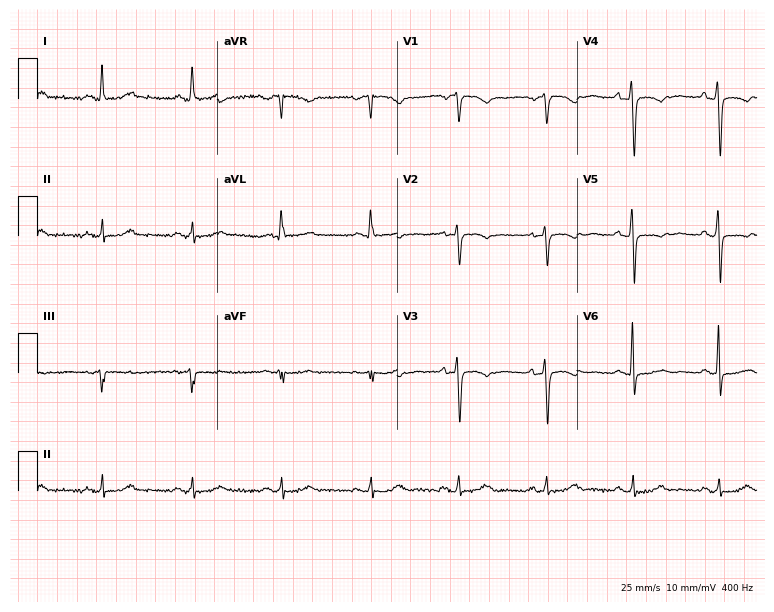
12-lead ECG from a female, 62 years old (7.3-second recording at 400 Hz). Recorded interpretation: within normal limits.